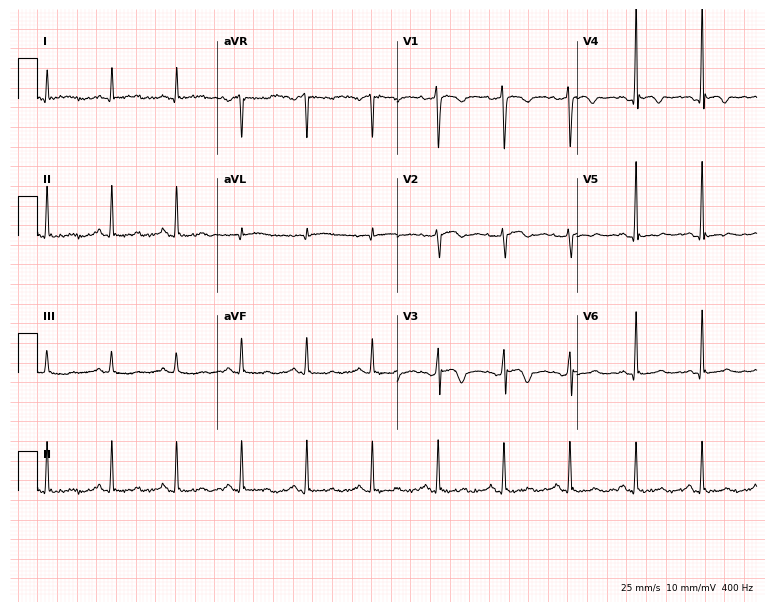
Electrocardiogram, a 36-year-old male patient. Overall reading on record: normal ECG.